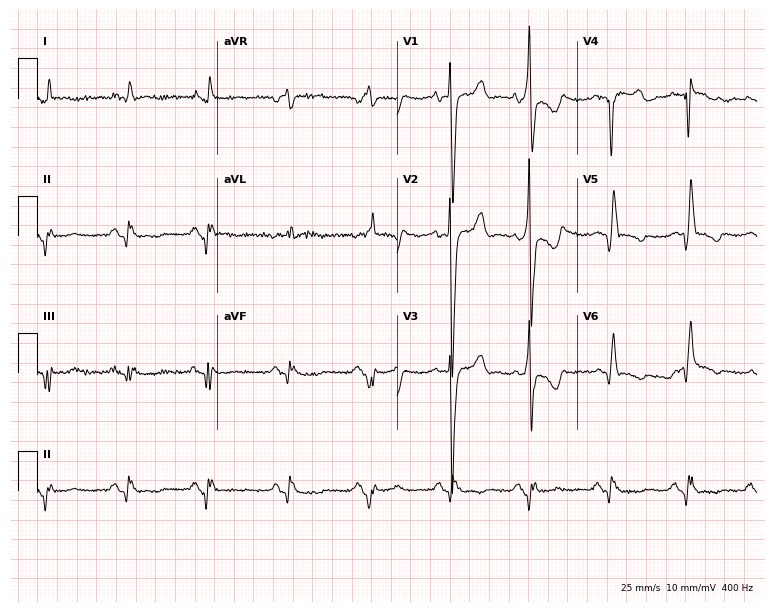
12-lead ECG from a man, 73 years old (7.3-second recording at 400 Hz). No first-degree AV block, right bundle branch block, left bundle branch block, sinus bradycardia, atrial fibrillation or sinus tachycardia recorded for this tracing.